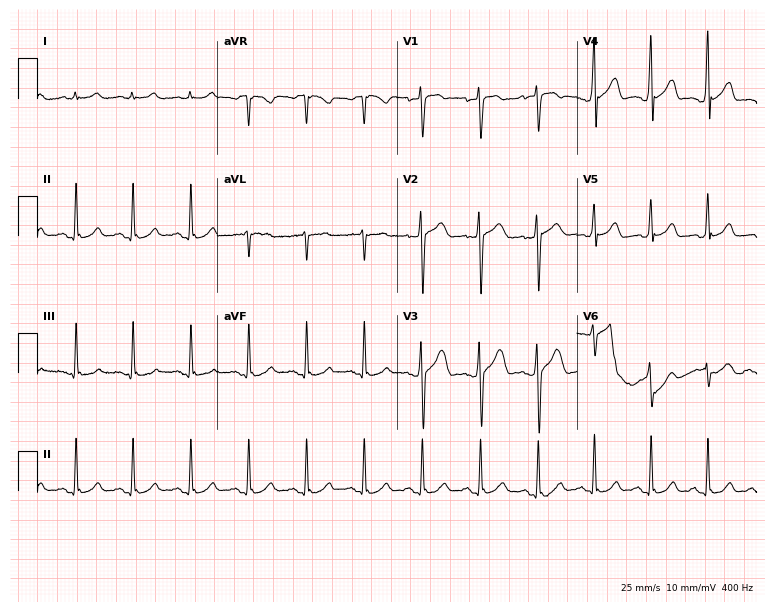
12-lead ECG (7.3-second recording at 400 Hz) from a male patient, 43 years old. Labelled as a normal ECG.